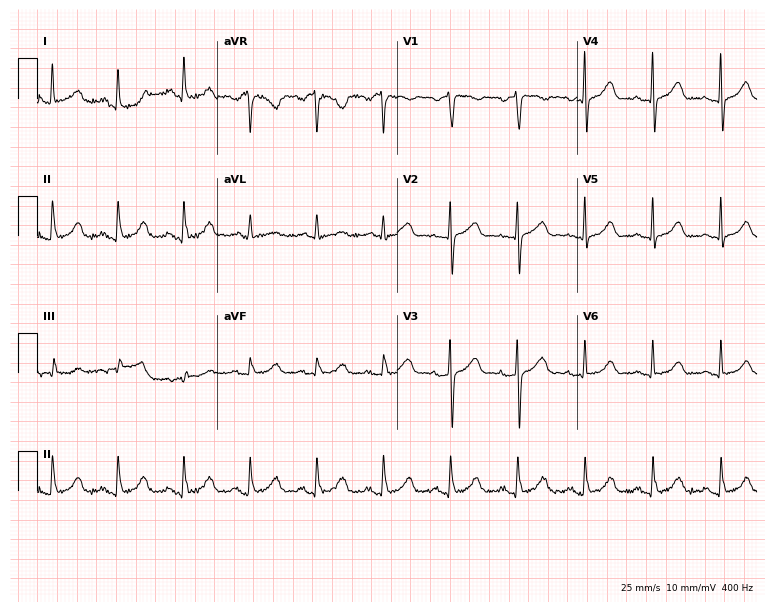
12-lead ECG (7.3-second recording at 400 Hz) from a female patient, 76 years old. Labelled as a normal ECG.